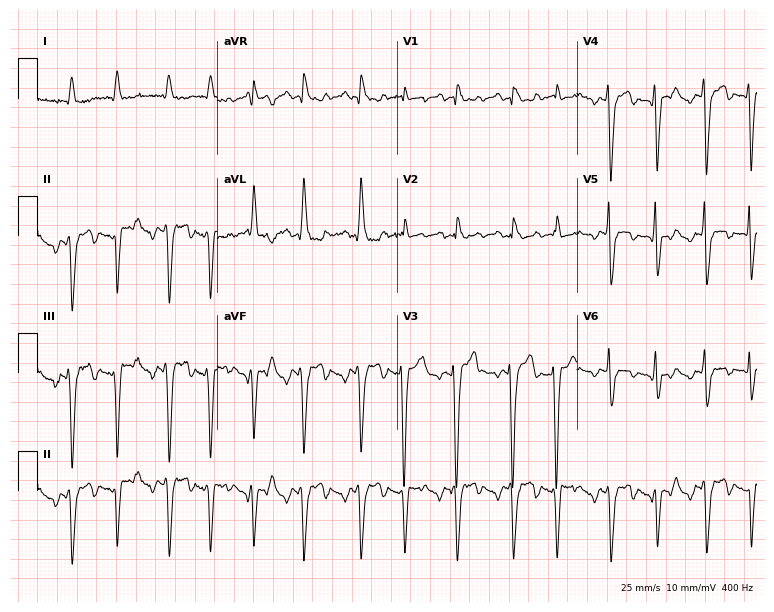
12-lead ECG from a 77-year-old male patient. No first-degree AV block, right bundle branch block, left bundle branch block, sinus bradycardia, atrial fibrillation or sinus tachycardia recorded for this tracing. Findings outside these six are not listed.